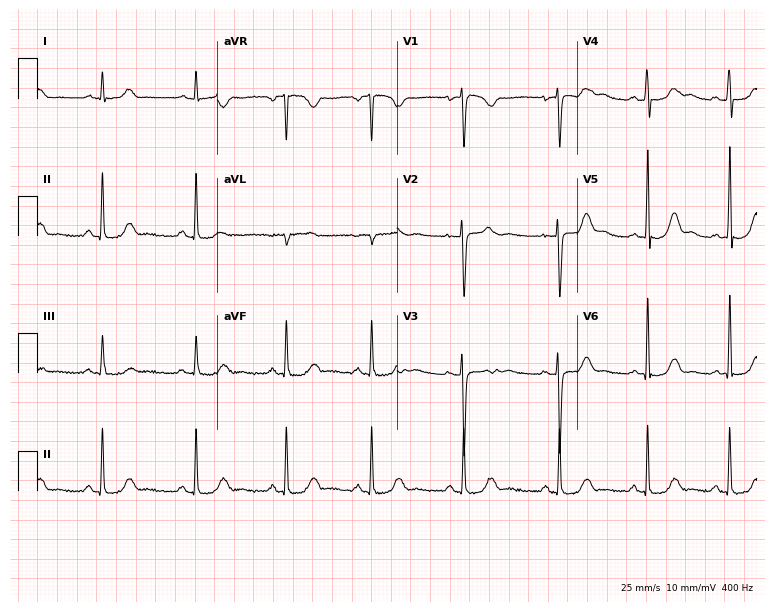
Standard 12-lead ECG recorded from a female, 27 years old. Read as a normal ECG.